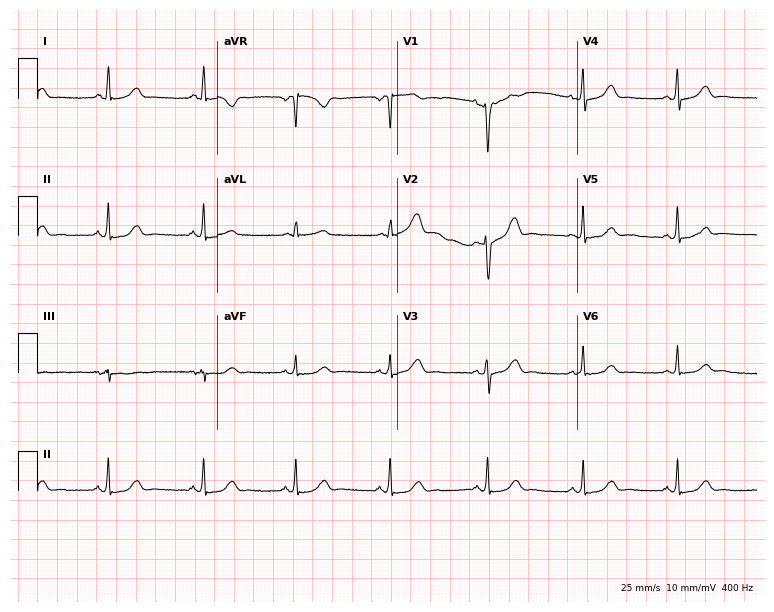
Standard 12-lead ECG recorded from a woman, 44 years old. Read as a normal ECG.